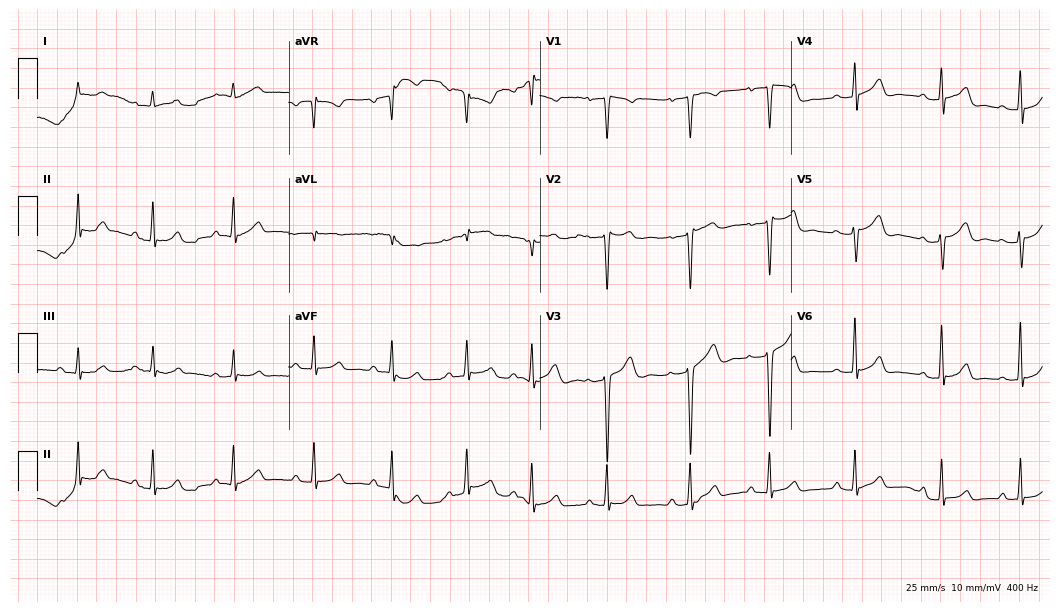
ECG — a female patient, 45 years old. Screened for six findings — first-degree AV block, right bundle branch block, left bundle branch block, sinus bradycardia, atrial fibrillation, sinus tachycardia — none is recorded. Only these six findings were labelled.